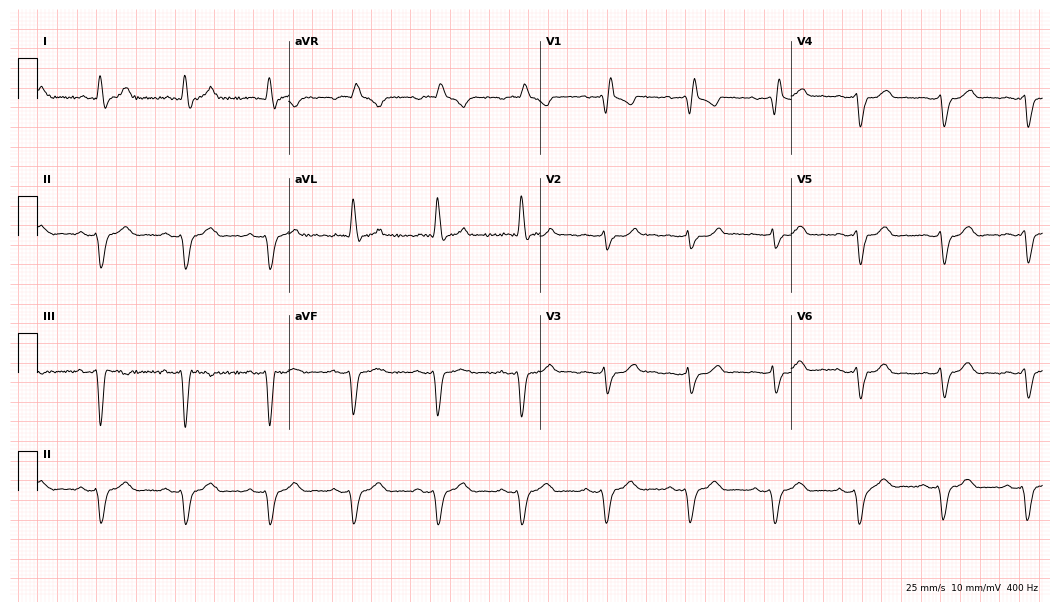
ECG — a man, 73 years old. Findings include right bundle branch block (RBBB).